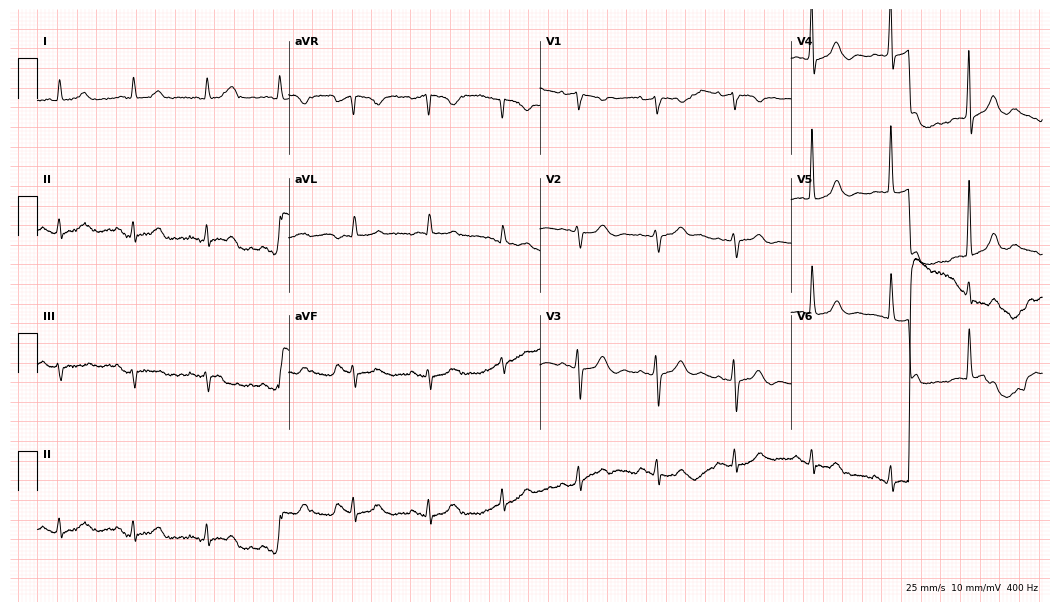
ECG (10.2-second recording at 400 Hz) — a female patient, 76 years old. Screened for six findings — first-degree AV block, right bundle branch block (RBBB), left bundle branch block (LBBB), sinus bradycardia, atrial fibrillation (AF), sinus tachycardia — none is recorded.